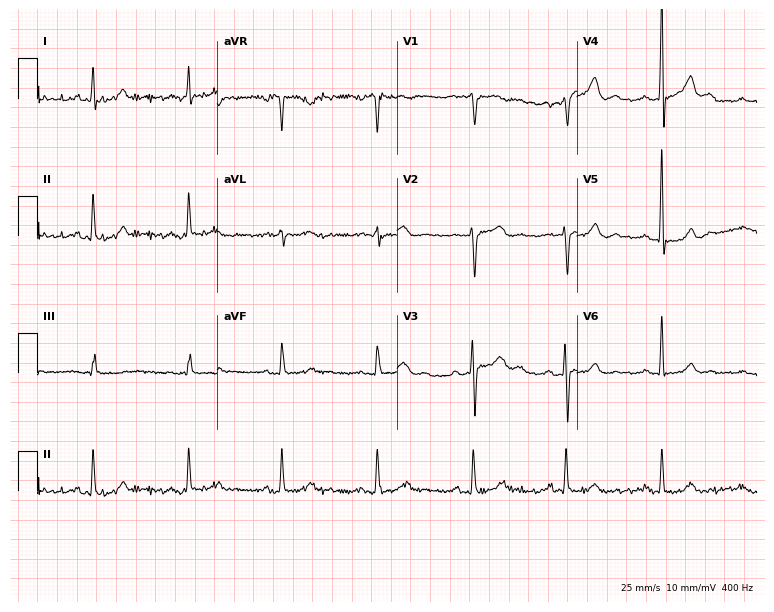
Electrocardiogram (7.3-second recording at 400 Hz), a man, 31 years old. Overall reading on record: normal ECG.